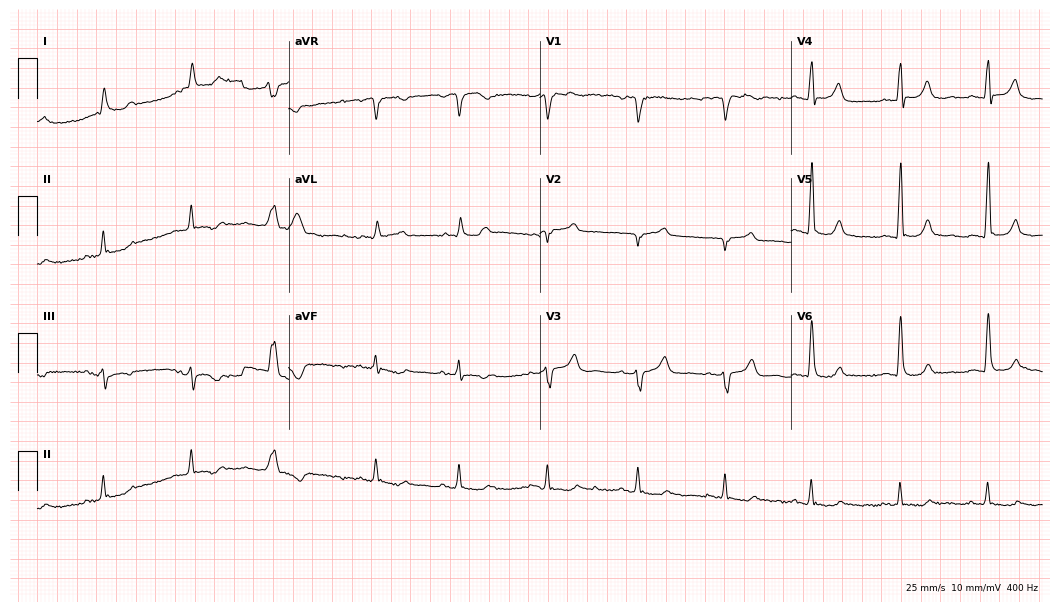
12-lead ECG from an 81-year-old male patient. Screened for six findings — first-degree AV block, right bundle branch block, left bundle branch block, sinus bradycardia, atrial fibrillation, sinus tachycardia — none is recorded. Findings outside these six are not listed.